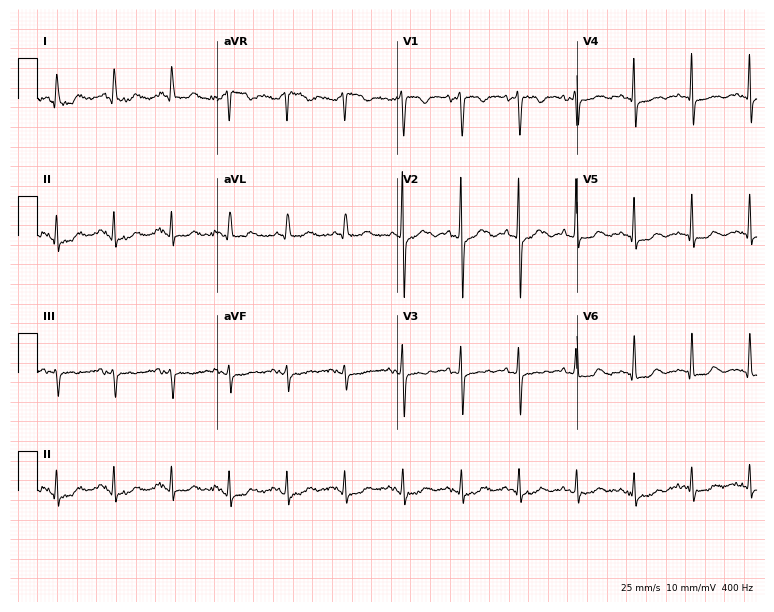
12-lead ECG from a female, 84 years old (7.3-second recording at 400 Hz). Shows sinus tachycardia (a sinus rate of 100 beats per minute or more).